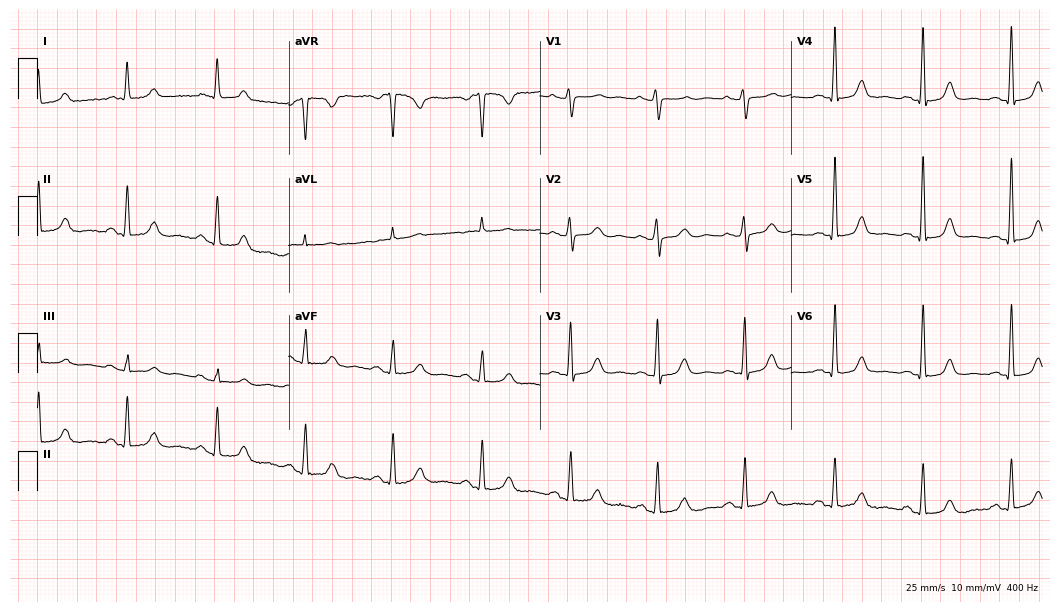
Electrocardiogram (10.2-second recording at 400 Hz), a female patient, 59 years old. Overall reading on record: normal ECG.